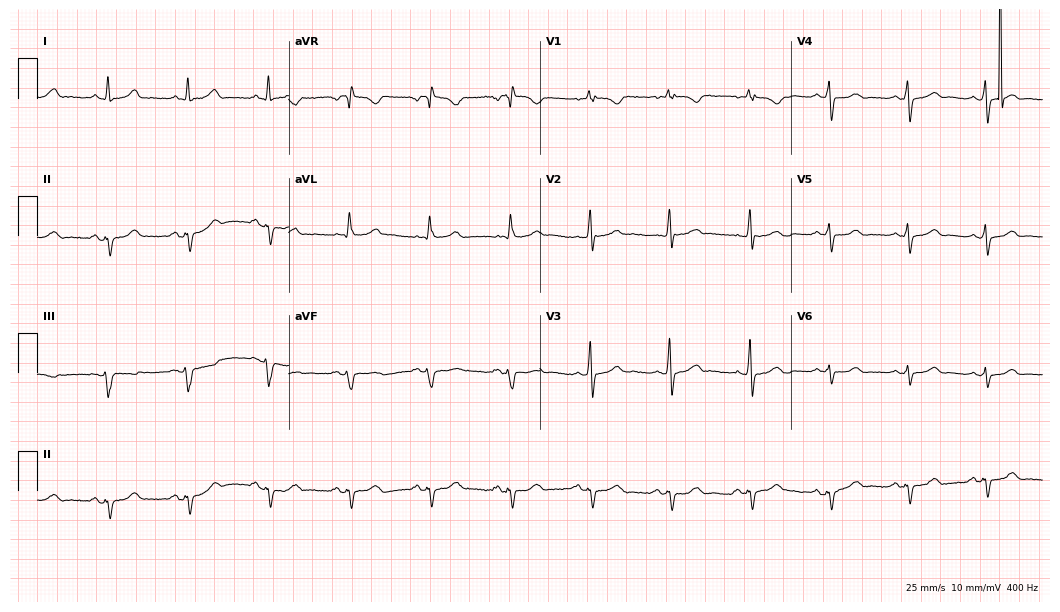
ECG — a female patient, 59 years old. Screened for six findings — first-degree AV block, right bundle branch block, left bundle branch block, sinus bradycardia, atrial fibrillation, sinus tachycardia — none is recorded.